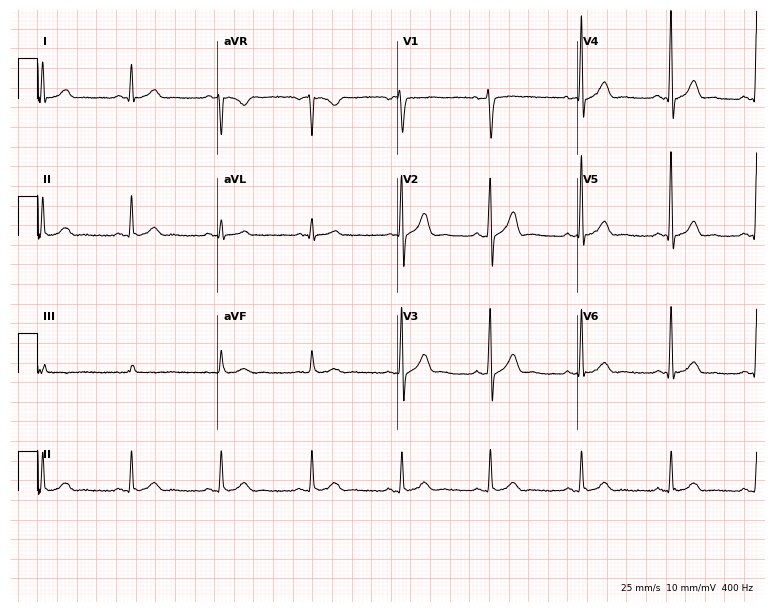
ECG — a 59-year-old male patient. Labelled as a normal ECG.